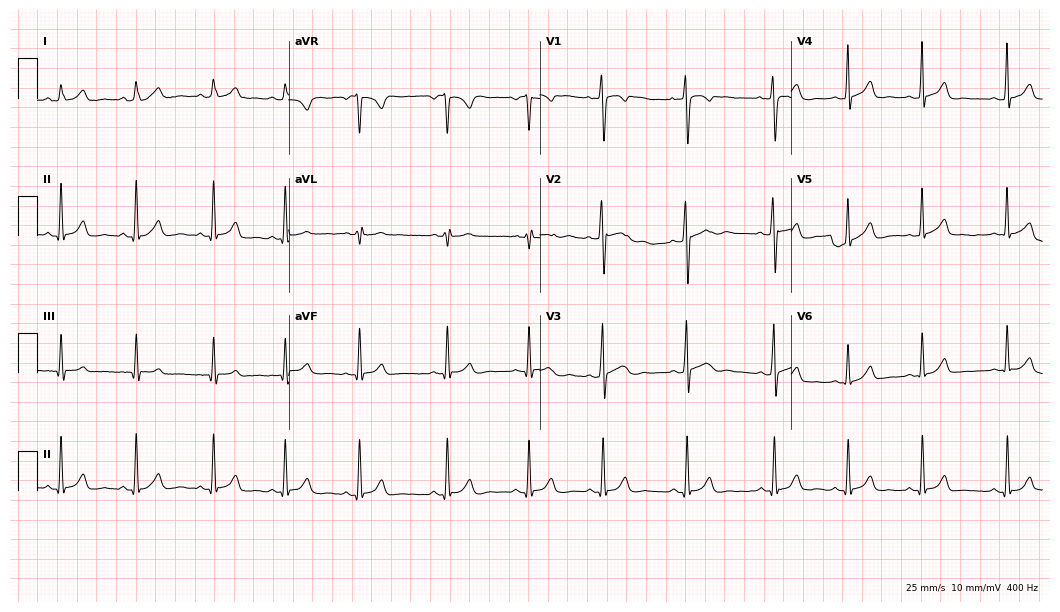
12-lead ECG (10.2-second recording at 400 Hz) from a woman, 22 years old. Screened for six findings — first-degree AV block, right bundle branch block, left bundle branch block, sinus bradycardia, atrial fibrillation, sinus tachycardia — none is recorded.